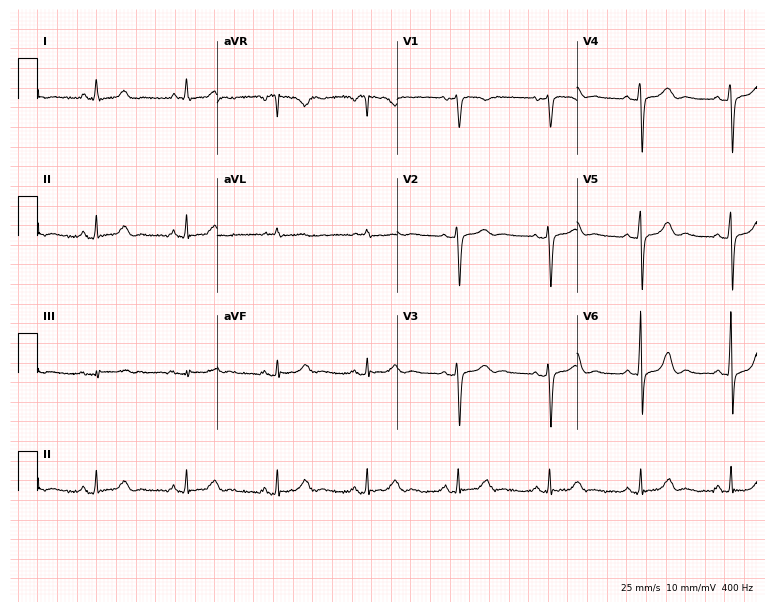
Electrocardiogram (7.3-second recording at 400 Hz), a woman, 80 years old. Of the six screened findings (first-degree AV block, right bundle branch block (RBBB), left bundle branch block (LBBB), sinus bradycardia, atrial fibrillation (AF), sinus tachycardia), none is recorded. Only these six findings were labelled.